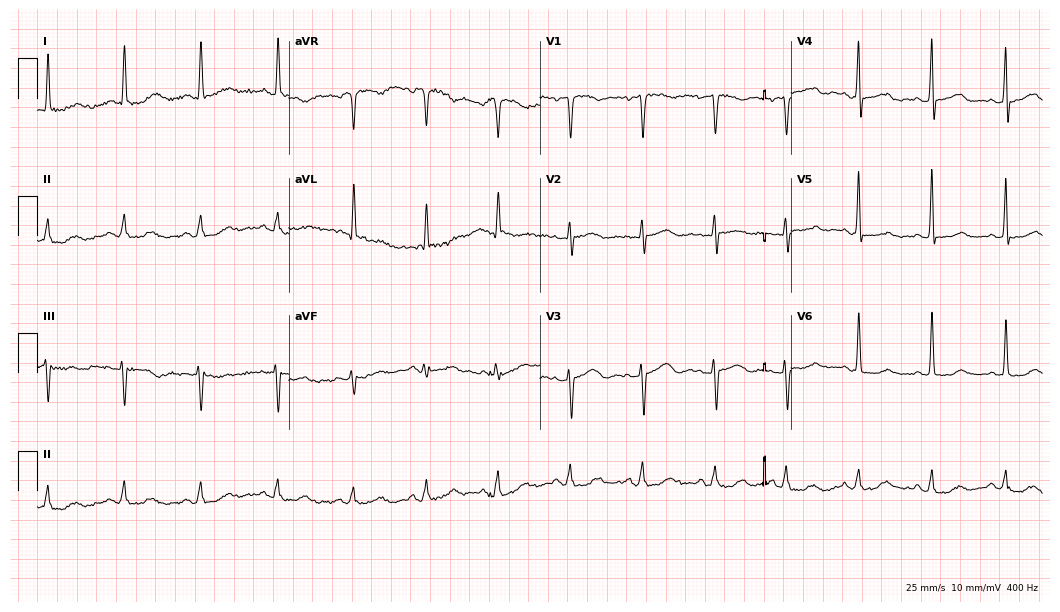
Electrocardiogram (10.2-second recording at 400 Hz), a 61-year-old woman. Of the six screened findings (first-degree AV block, right bundle branch block, left bundle branch block, sinus bradycardia, atrial fibrillation, sinus tachycardia), none is recorded.